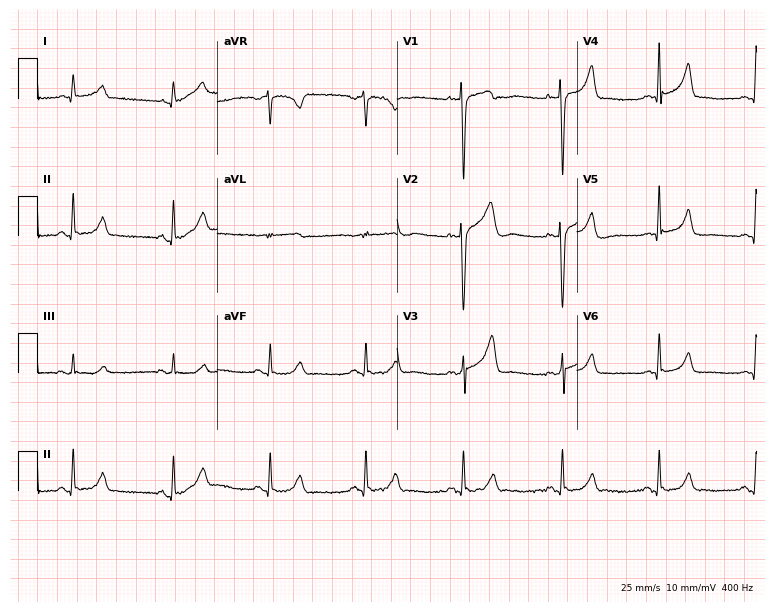
Resting 12-lead electrocardiogram (7.3-second recording at 400 Hz). Patient: a 34-year-old man. Read as a normal ECG.